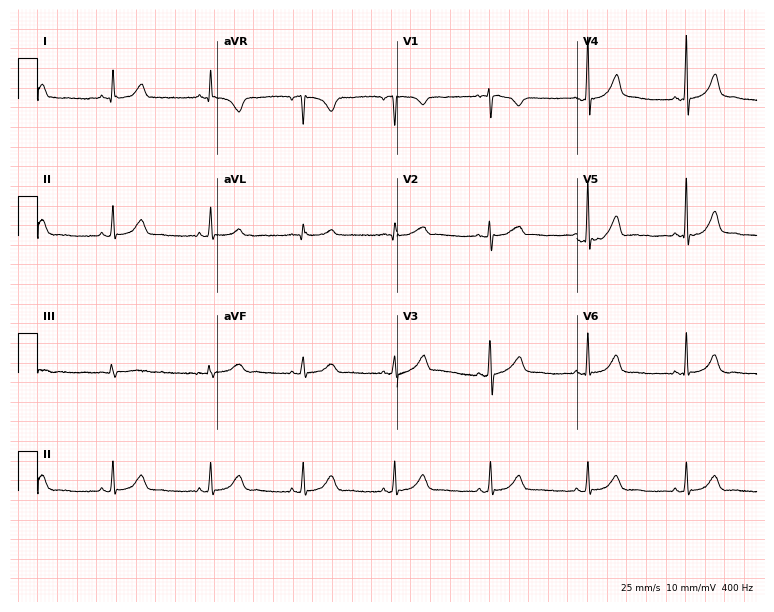
ECG (7.3-second recording at 400 Hz) — a female patient, 39 years old. Labelled as a normal ECG.